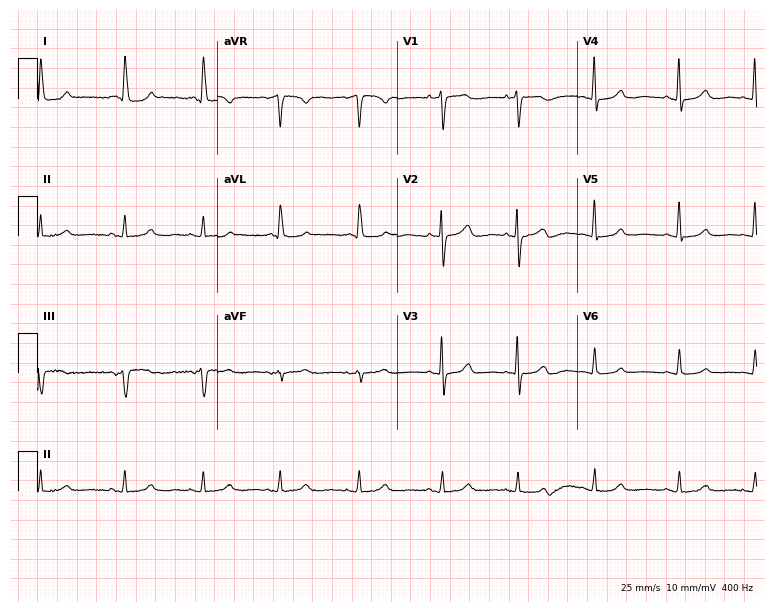
Standard 12-lead ECG recorded from an 80-year-old woman. Read as a normal ECG.